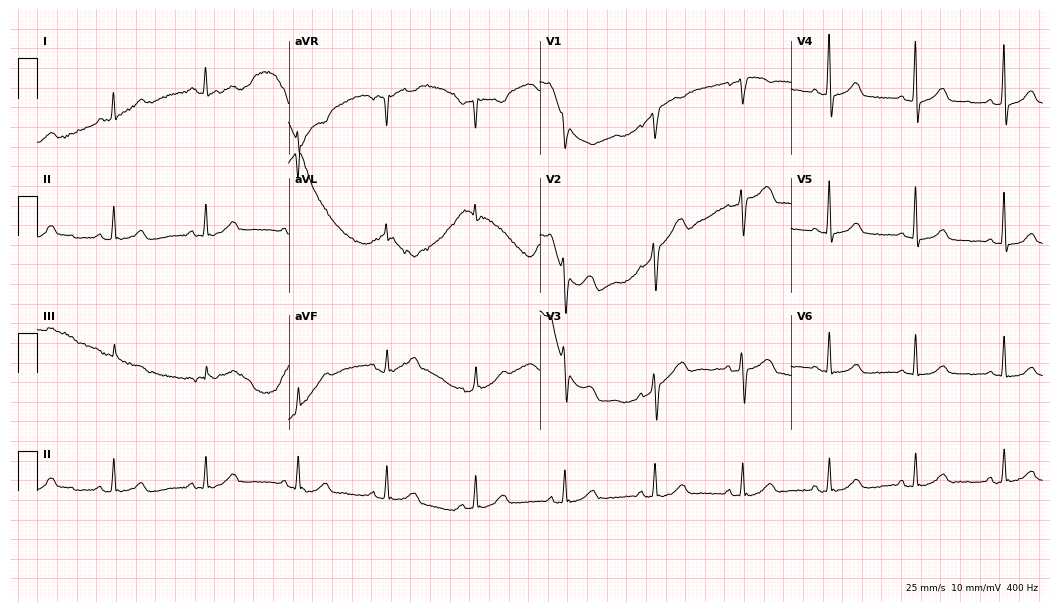
12-lead ECG from a female patient, 55 years old. No first-degree AV block, right bundle branch block (RBBB), left bundle branch block (LBBB), sinus bradycardia, atrial fibrillation (AF) or sinus tachycardia recorded for this tracing.